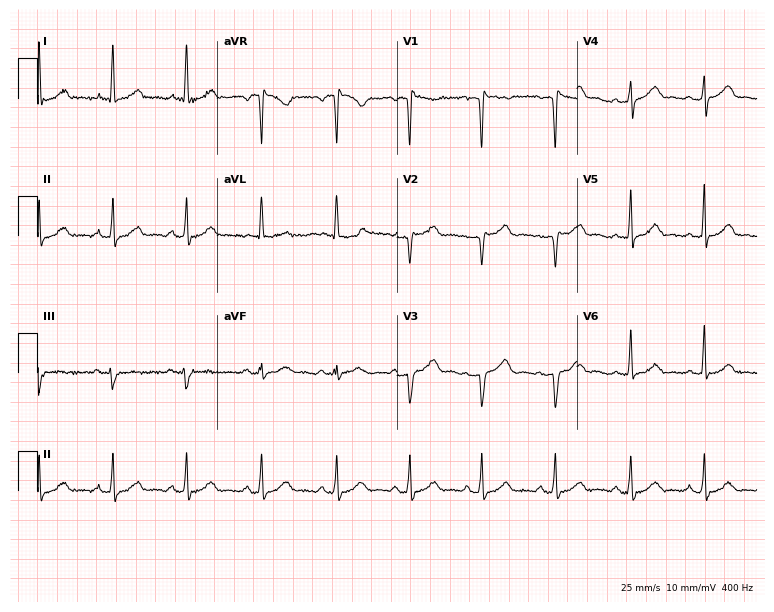
12-lead ECG from a 46-year-old female patient. No first-degree AV block, right bundle branch block (RBBB), left bundle branch block (LBBB), sinus bradycardia, atrial fibrillation (AF) or sinus tachycardia recorded for this tracing. Only these six findings were labelled.